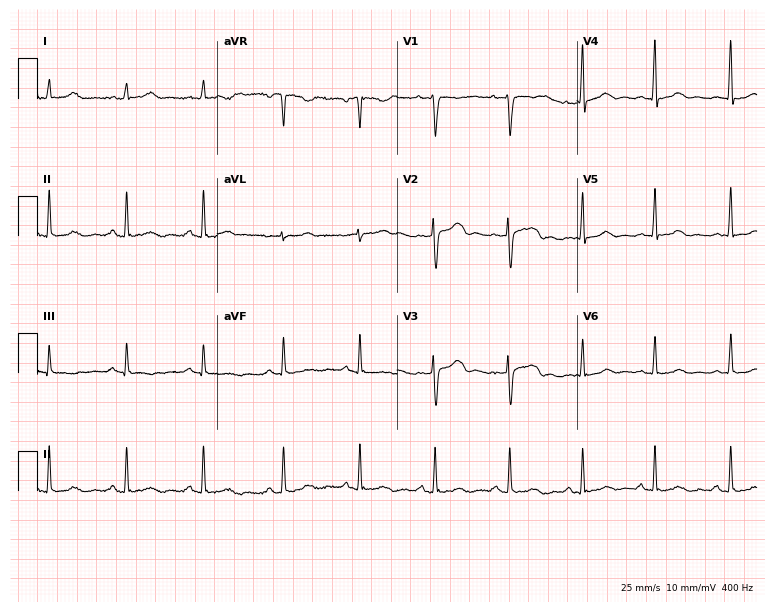
12-lead ECG from a female patient, 25 years old. No first-degree AV block, right bundle branch block (RBBB), left bundle branch block (LBBB), sinus bradycardia, atrial fibrillation (AF) or sinus tachycardia recorded for this tracing.